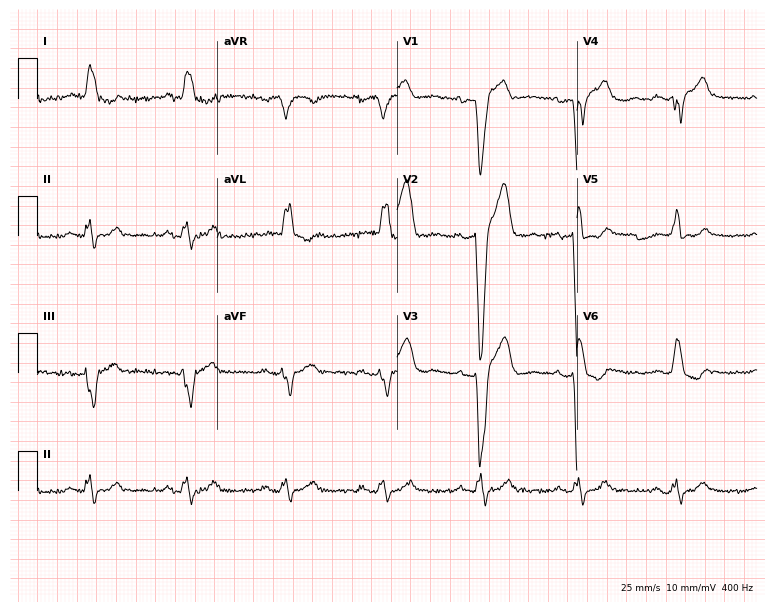
12-lead ECG from a man, 85 years old. Shows left bundle branch block (LBBB).